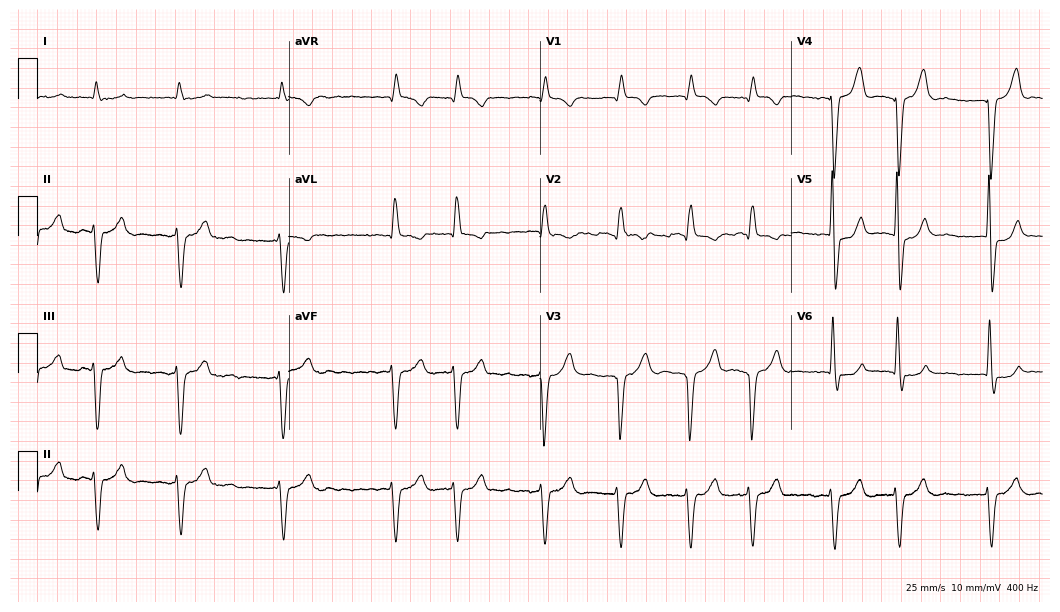
Electrocardiogram, an 82-year-old male patient. Interpretation includes right bundle branch block (RBBB), atrial fibrillation (AF).